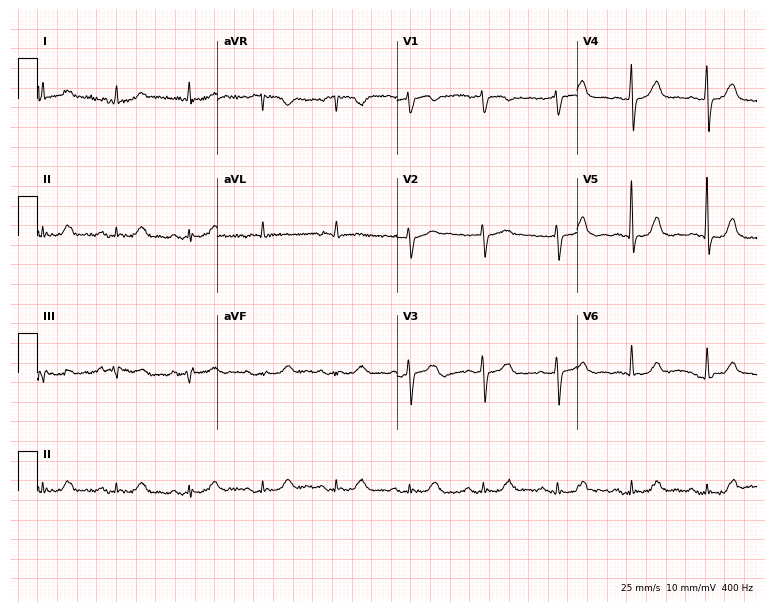
12-lead ECG from a man, 75 years old. Recorded interpretation: within normal limits.